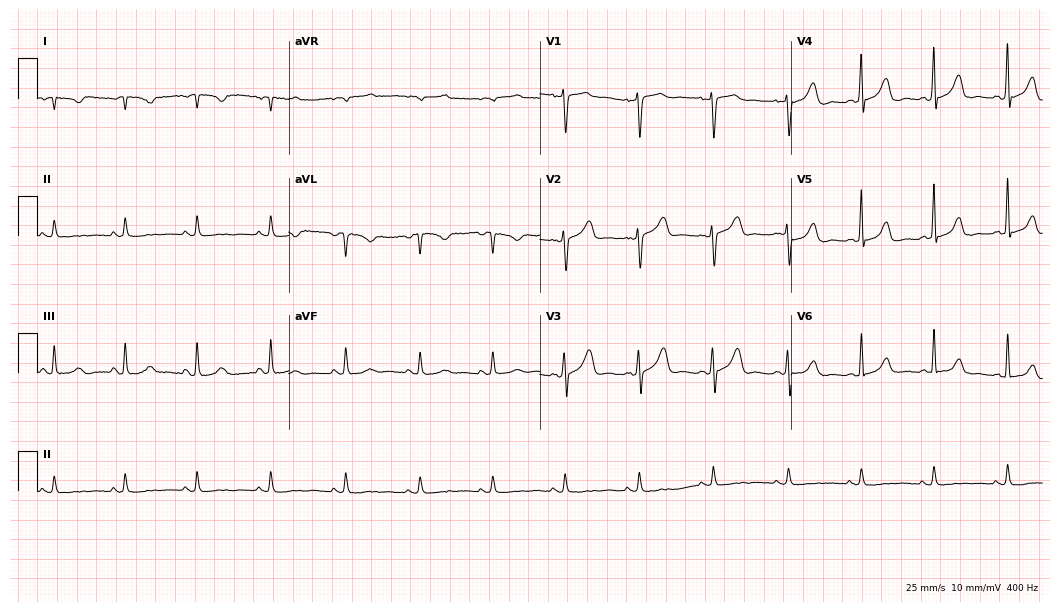
Standard 12-lead ECG recorded from a 53-year-old female. Read as a normal ECG.